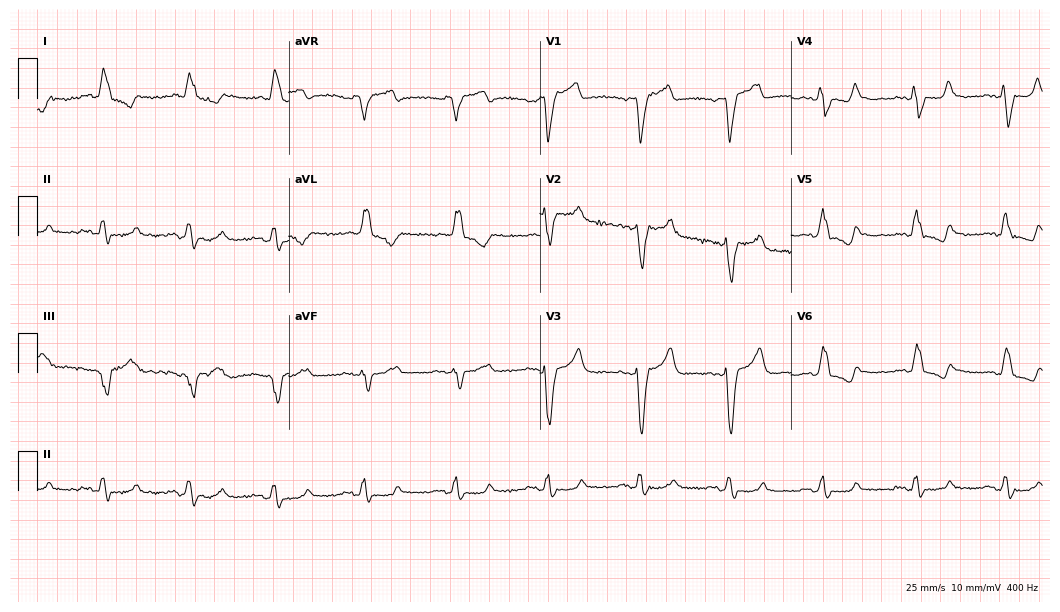
Standard 12-lead ECG recorded from a 77-year-old female patient. The tracing shows left bundle branch block (LBBB).